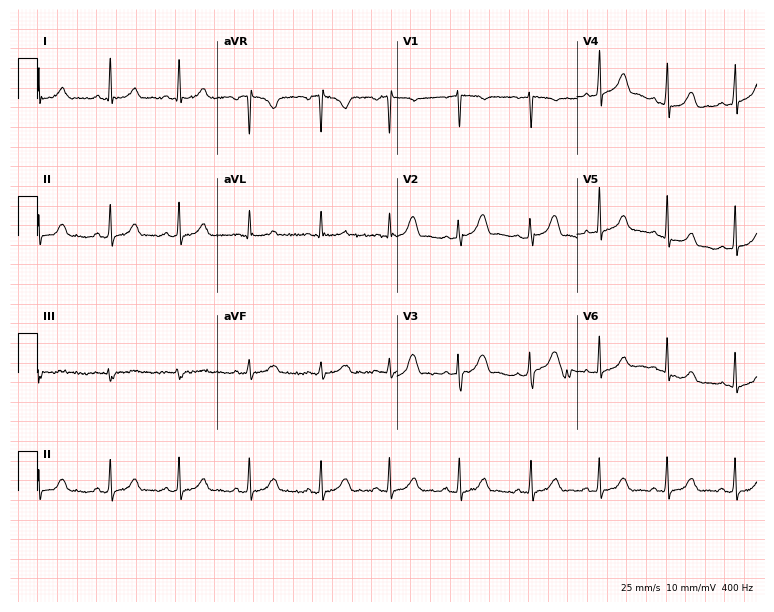
Resting 12-lead electrocardiogram (7.3-second recording at 400 Hz). Patient: a female, 19 years old. Read as a normal ECG.